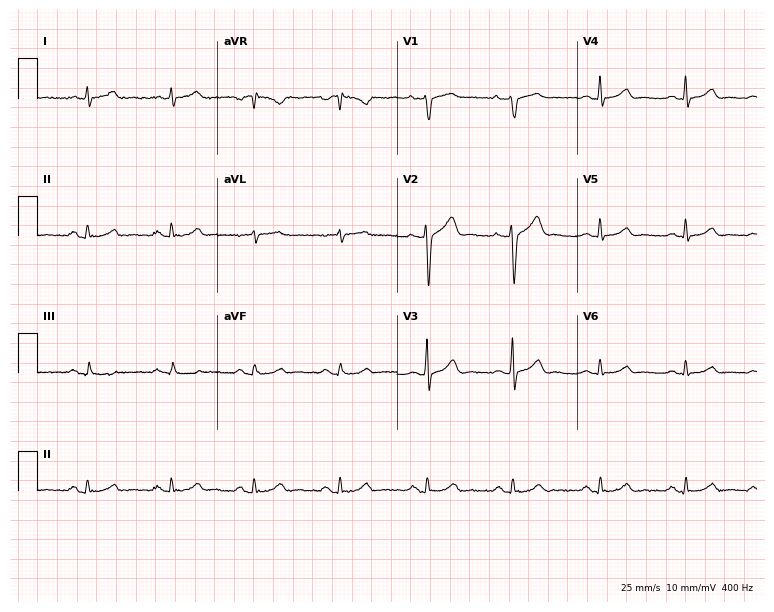
ECG — a male patient, 38 years old. Labelled as a normal ECG.